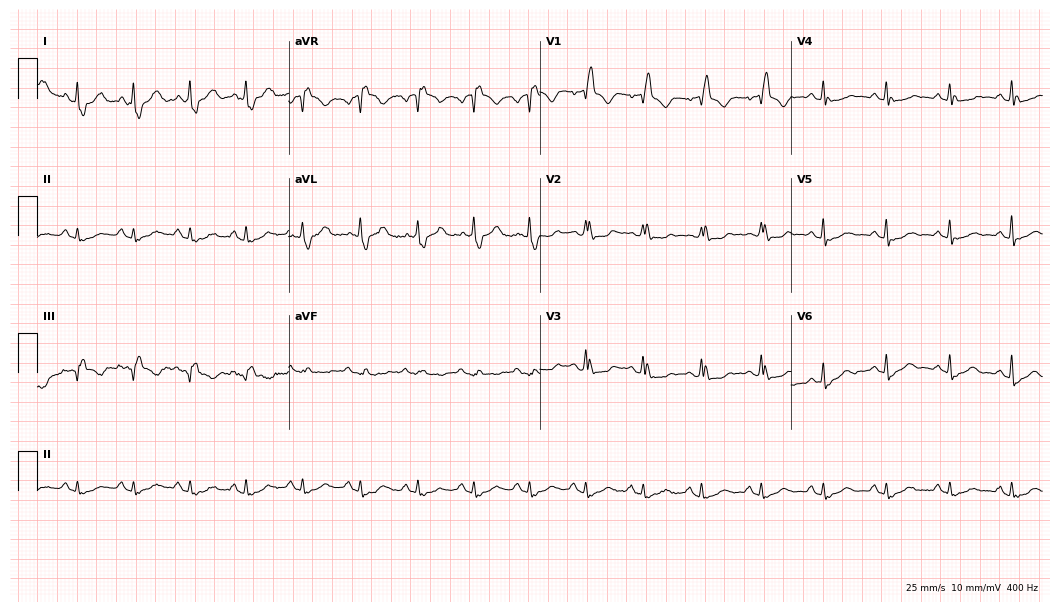
Electrocardiogram (10.2-second recording at 400 Hz), a 72-year-old female. Interpretation includes right bundle branch block.